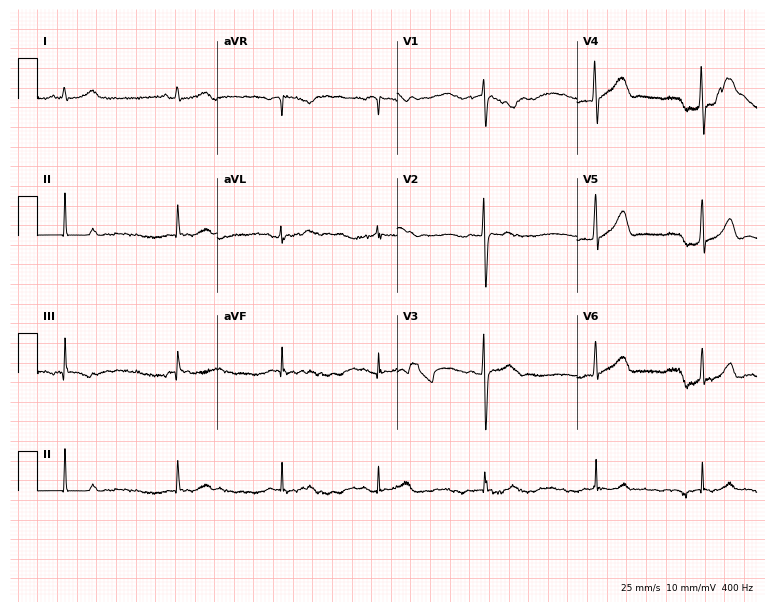
Electrocardiogram, an 18-year-old female patient. Overall reading on record: normal ECG.